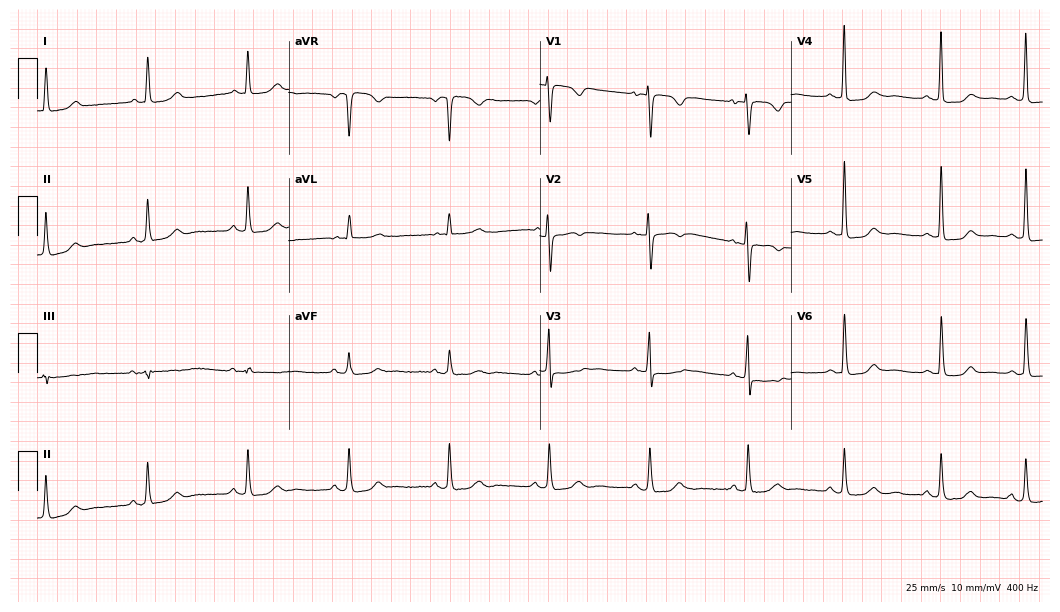
ECG — a 68-year-old female. Labelled as a normal ECG.